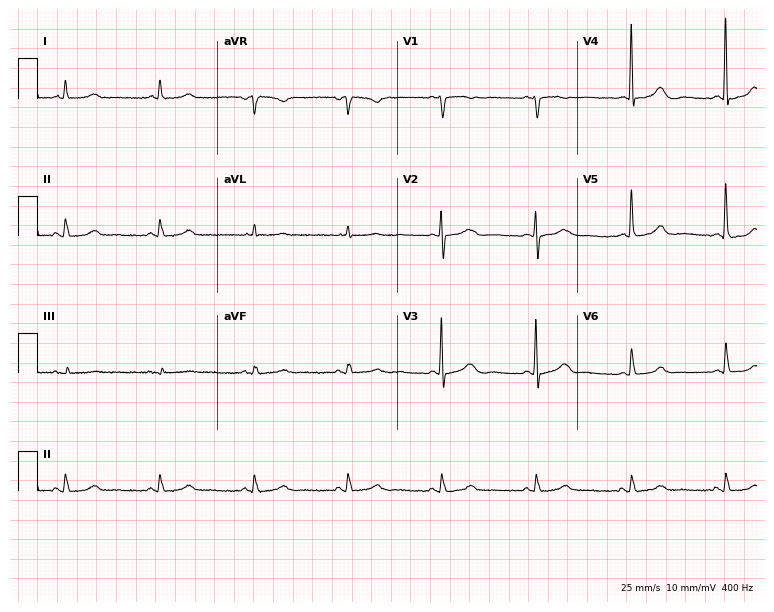
Standard 12-lead ECG recorded from a female patient, 81 years old. Read as a normal ECG.